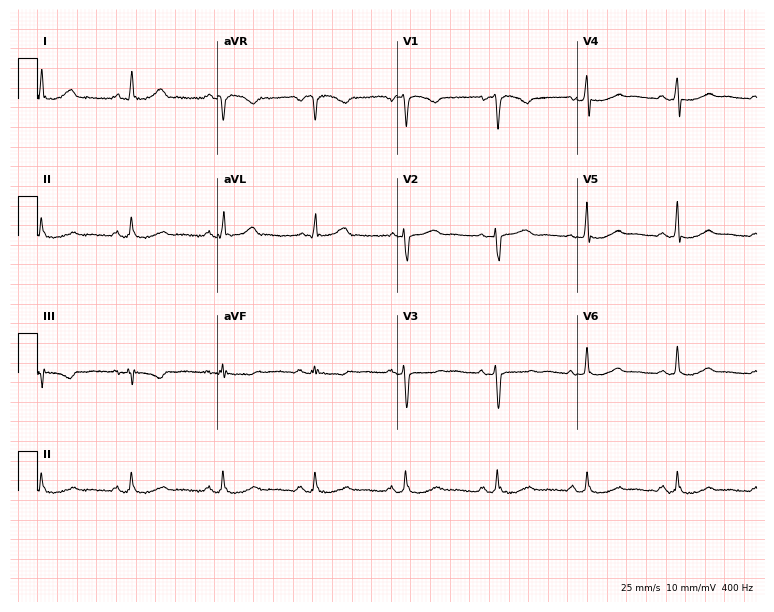
12-lead ECG from a 49-year-old female (7.3-second recording at 400 Hz). Recorded interpretation: within normal limits.